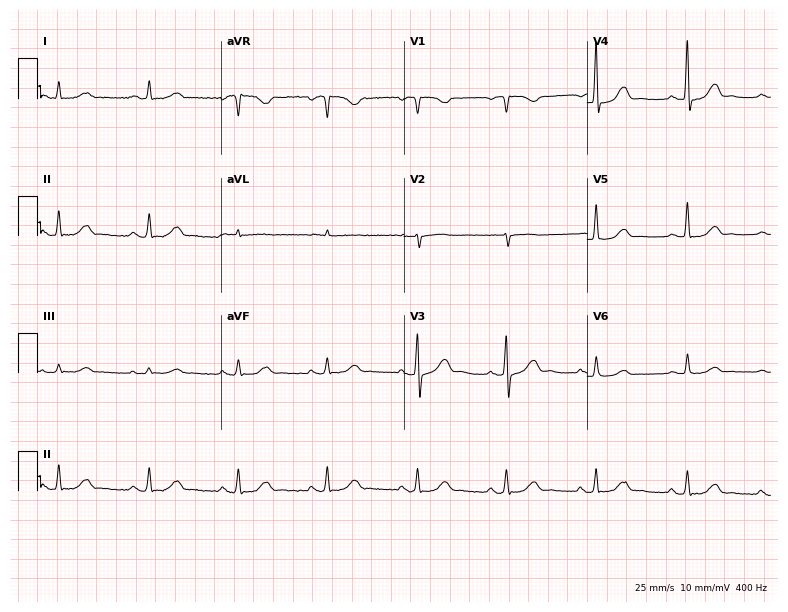
Resting 12-lead electrocardiogram (7.5-second recording at 400 Hz). Patient: an 82-year-old male. None of these six findings is recorded: first-degree AV block, right bundle branch block, left bundle branch block, sinus bradycardia, atrial fibrillation, sinus tachycardia.